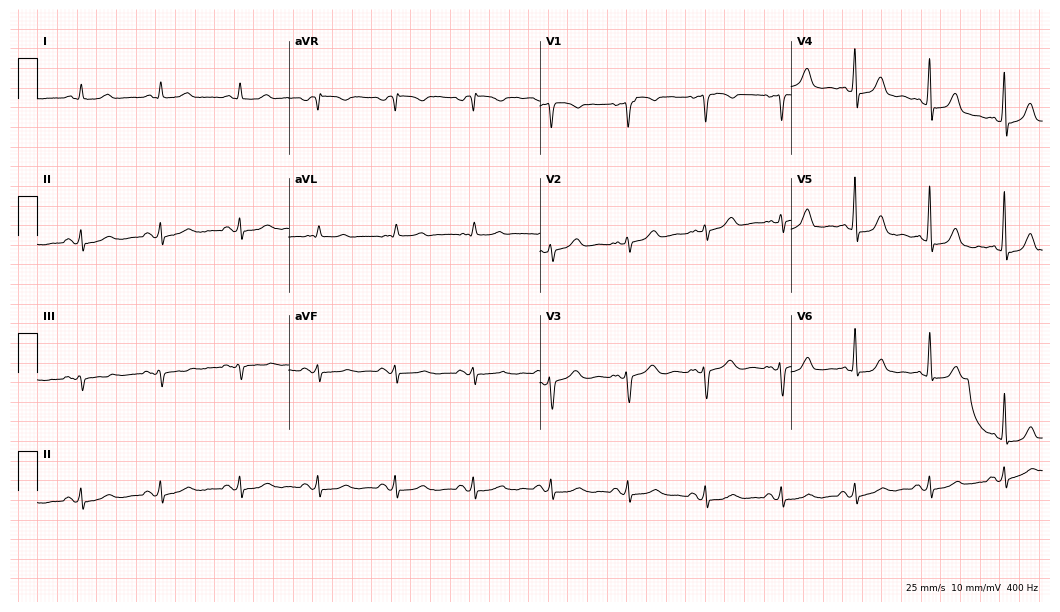
ECG — a 64-year-old male patient. Screened for six findings — first-degree AV block, right bundle branch block (RBBB), left bundle branch block (LBBB), sinus bradycardia, atrial fibrillation (AF), sinus tachycardia — none is recorded.